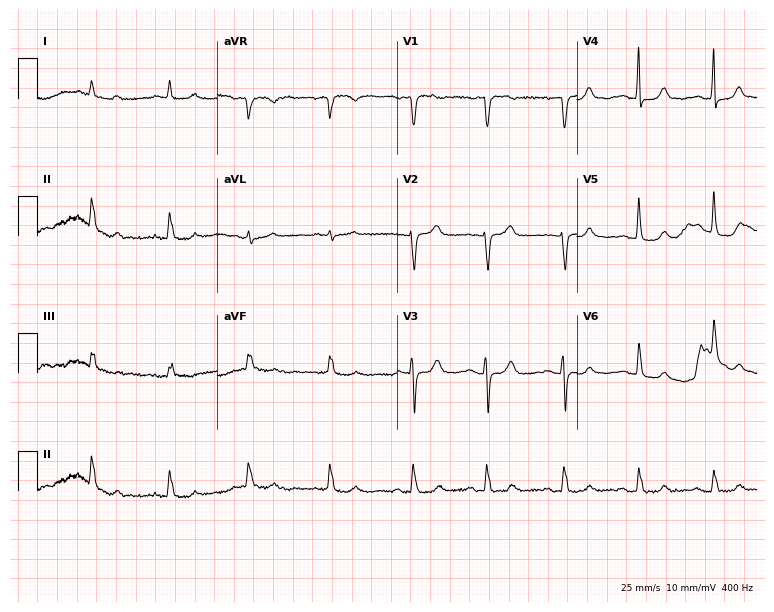
12-lead ECG from a 76-year-old woman (7.3-second recording at 400 Hz). No first-degree AV block, right bundle branch block, left bundle branch block, sinus bradycardia, atrial fibrillation or sinus tachycardia recorded for this tracing.